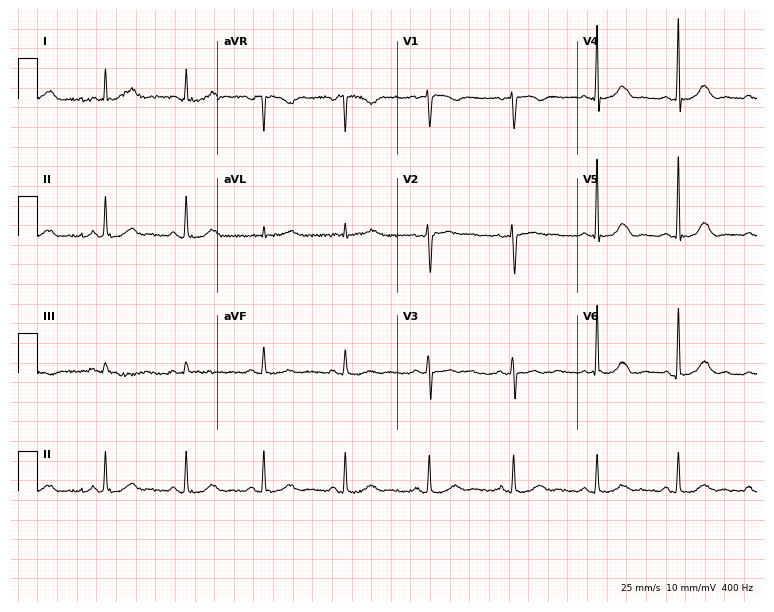
ECG — a 52-year-old female. Labelled as a normal ECG.